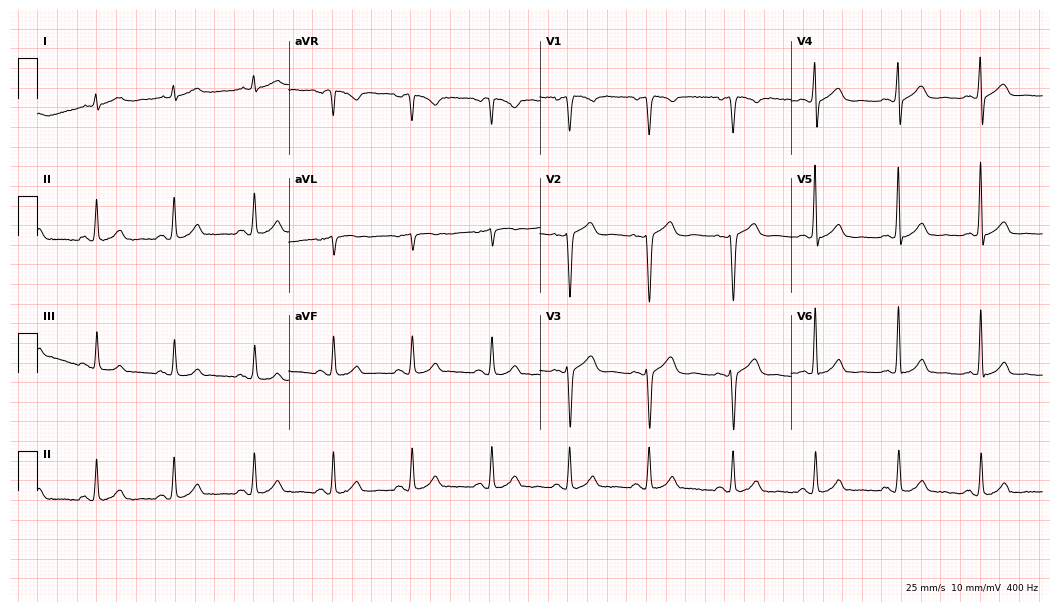
12-lead ECG from a 45-year-old man. Labelled as a normal ECG.